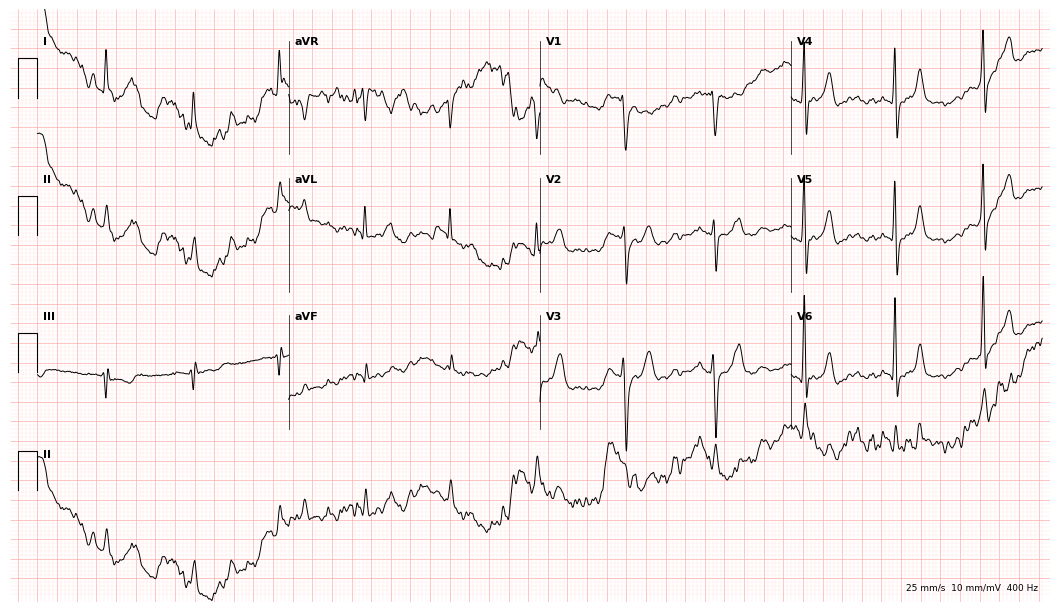
ECG — a man, 68 years old. Screened for six findings — first-degree AV block, right bundle branch block, left bundle branch block, sinus bradycardia, atrial fibrillation, sinus tachycardia — none is recorded. Only these six findings were labelled.